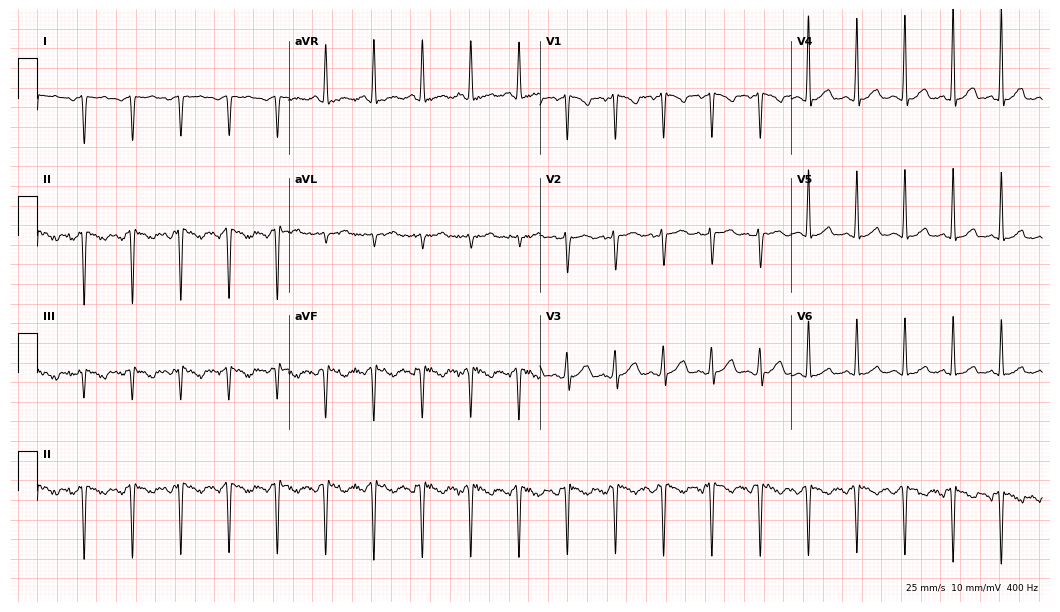
12-lead ECG (10.2-second recording at 400 Hz) from a 29-year-old female patient. Screened for six findings — first-degree AV block, right bundle branch block, left bundle branch block, sinus bradycardia, atrial fibrillation, sinus tachycardia — none is recorded. Only these six findings were labelled.